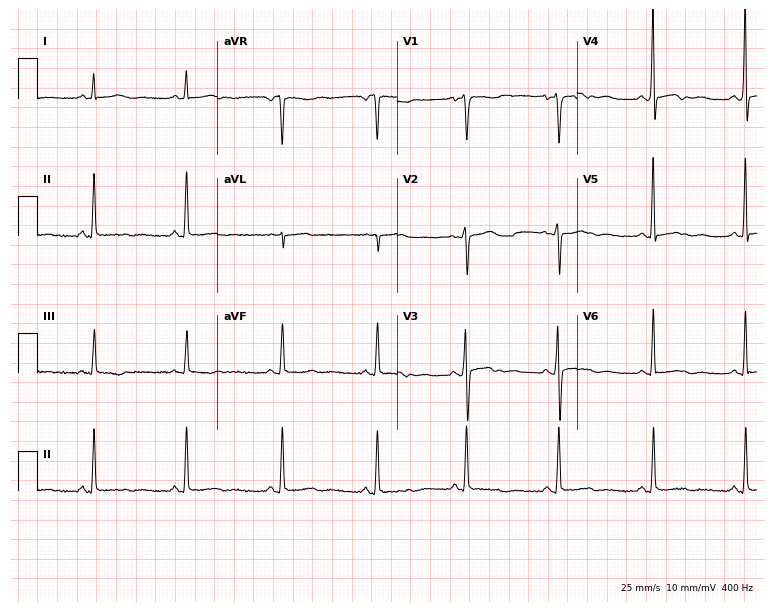
12-lead ECG from a woman, 41 years old. No first-degree AV block, right bundle branch block (RBBB), left bundle branch block (LBBB), sinus bradycardia, atrial fibrillation (AF) or sinus tachycardia recorded for this tracing.